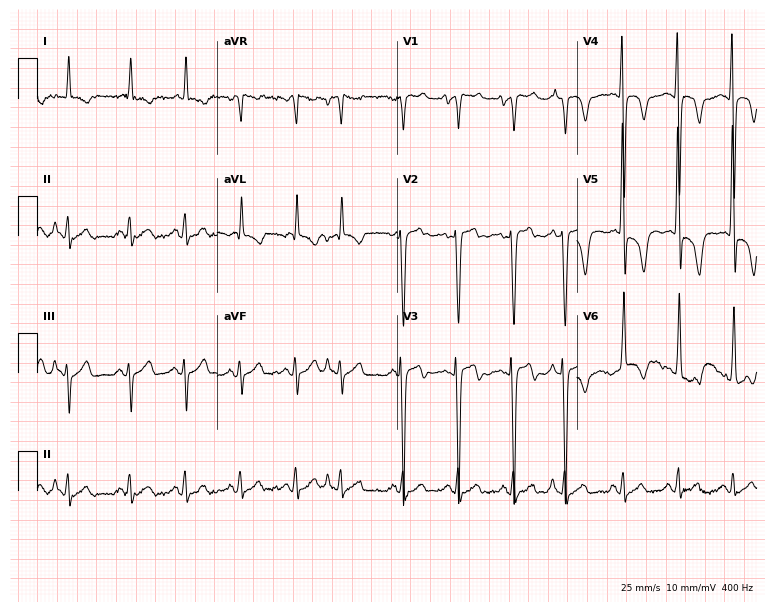
ECG — a female patient, 74 years old. Screened for six findings — first-degree AV block, right bundle branch block, left bundle branch block, sinus bradycardia, atrial fibrillation, sinus tachycardia — none is recorded.